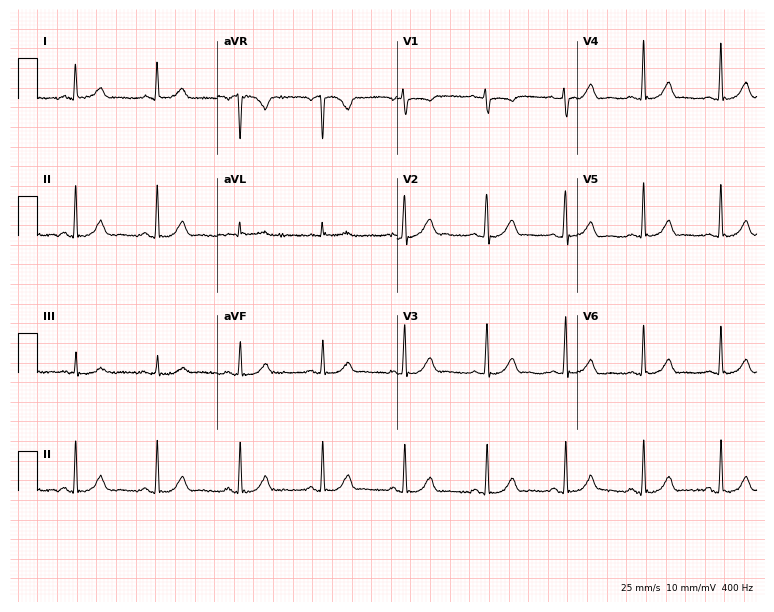
ECG — a woman, 44 years old. Screened for six findings — first-degree AV block, right bundle branch block, left bundle branch block, sinus bradycardia, atrial fibrillation, sinus tachycardia — none is recorded.